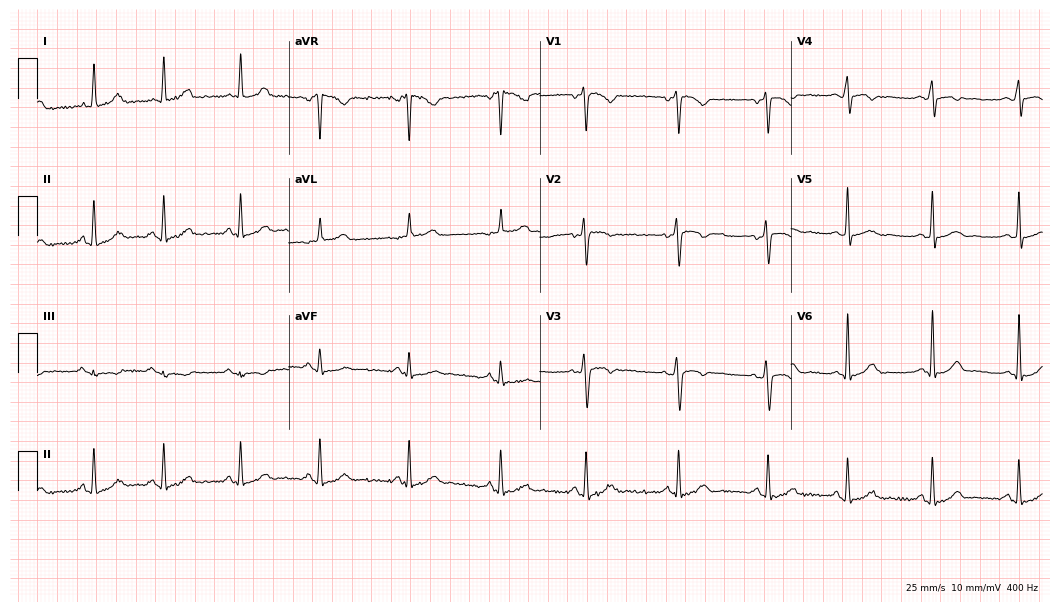
Resting 12-lead electrocardiogram (10.2-second recording at 400 Hz). Patient: a 31-year-old woman. None of these six findings is recorded: first-degree AV block, right bundle branch block, left bundle branch block, sinus bradycardia, atrial fibrillation, sinus tachycardia. Other findings, if any, are not listed.